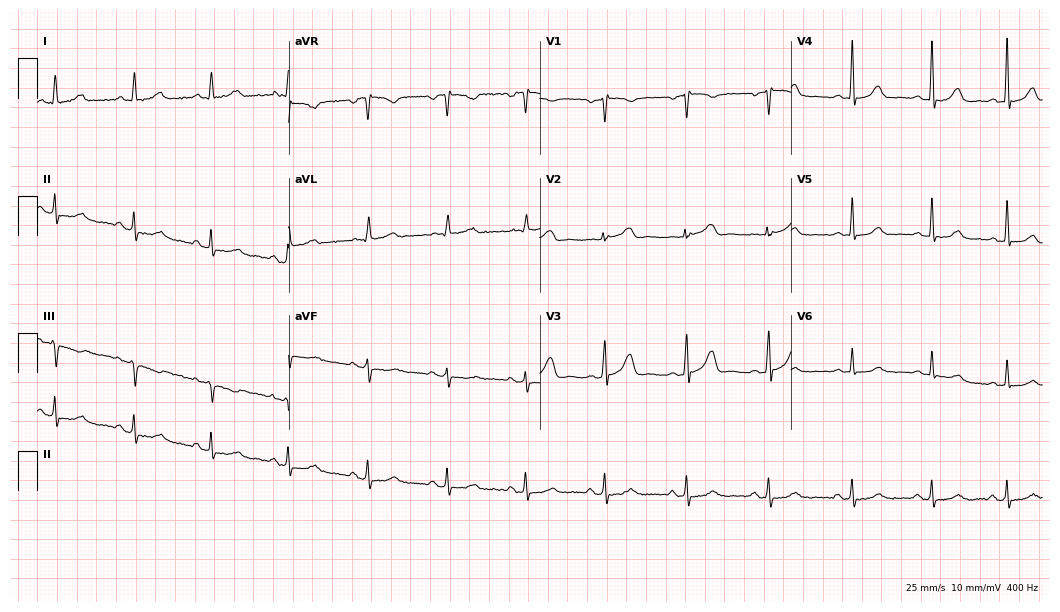
Electrocardiogram, a 45-year-old female patient. Overall reading on record: normal ECG.